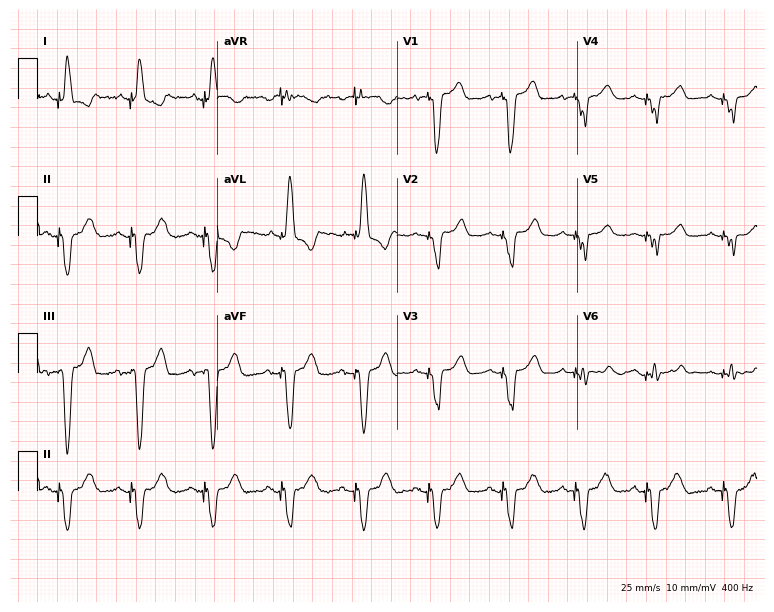
ECG — a female patient, 84 years old. Screened for six findings — first-degree AV block, right bundle branch block, left bundle branch block, sinus bradycardia, atrial fibrillation, sinus tachycardia — none is recorded.